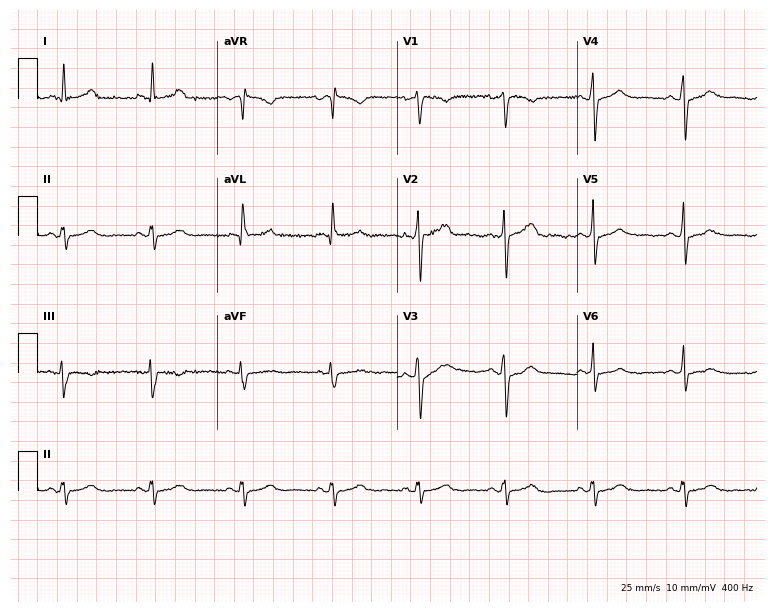
Standard 12-lead ECG recorded from a 51-year-old male patient (7.3-second recording at 400 Hz). Read as a normal ECG.